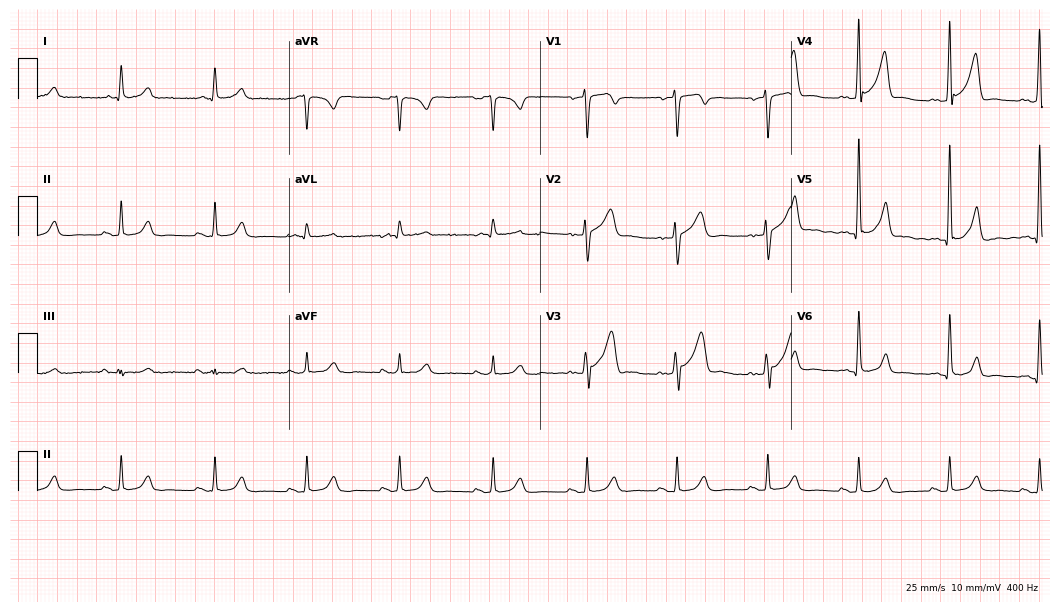
ECG (10.2-second recording at 400 Hz) — a male, 57 years old. Screened for six findings — first-degree AV block, right bundle branch block, left bundle branch block, sinus bradycardia, atrial fibrillation, sinus tachycardia — none is recorded. Findings outside these six are not listed.